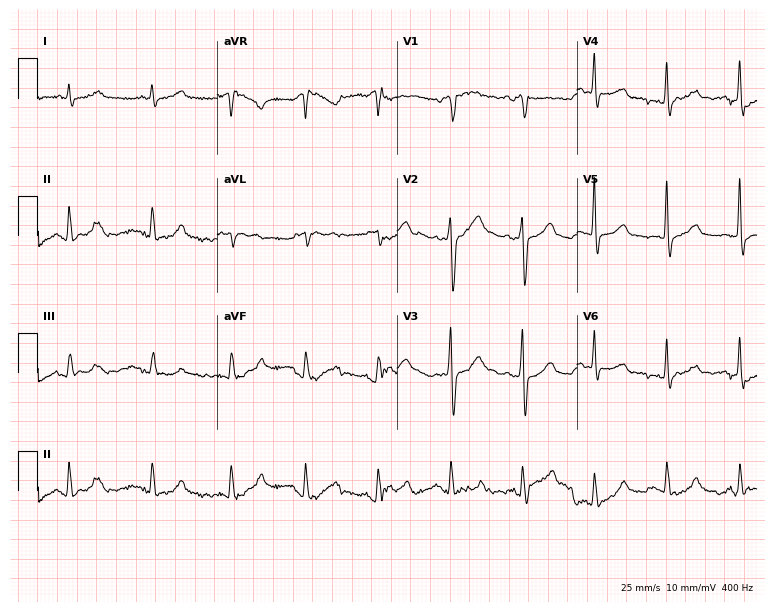
Electrocardiogram, a 54-year-old man. Of the six screened findings (first-degree AV block, right bundle branch block (RBBB), left bundle branch block (LBBB), sinus bradycardia, atrial fibrillation (AF), sinus tachycardia), none is recorded.